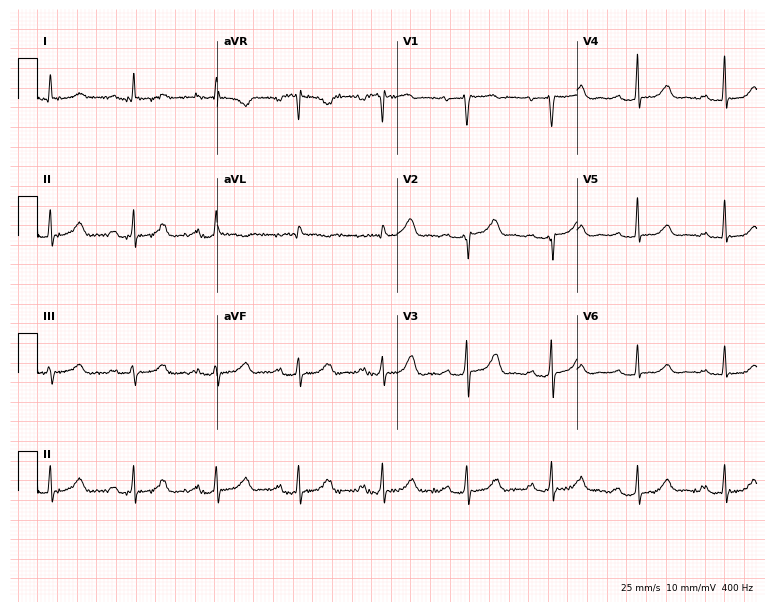
Resting 12-lead electrocardiogram. Patient: a woman, 81 years old. Read as a normal ECG.